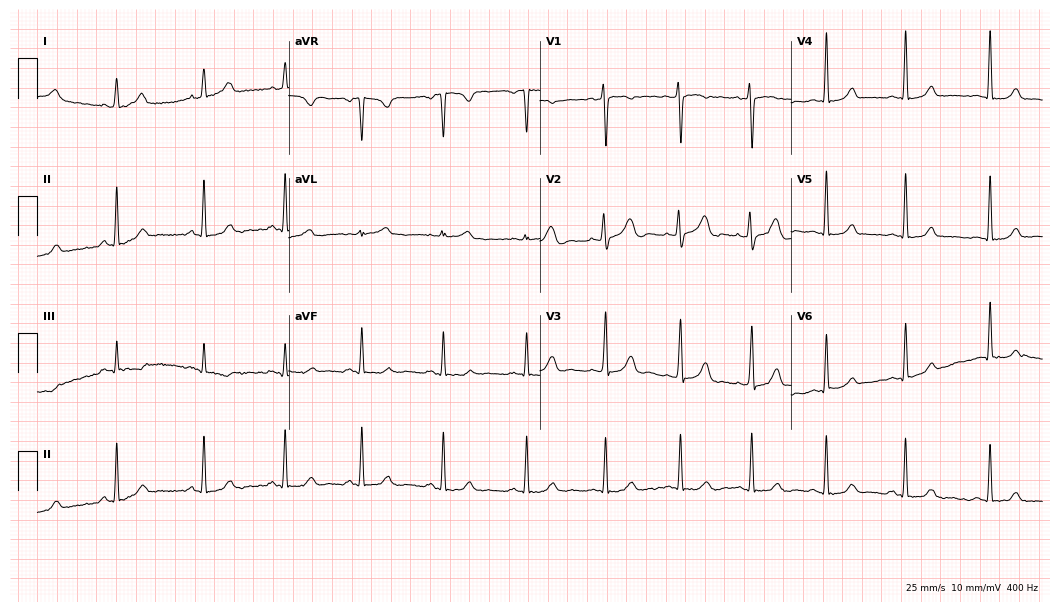
12-lead ECG (10.2-second recording at 400 Hz) from a female patient, 29 years old. Labelled as a normal ECG.